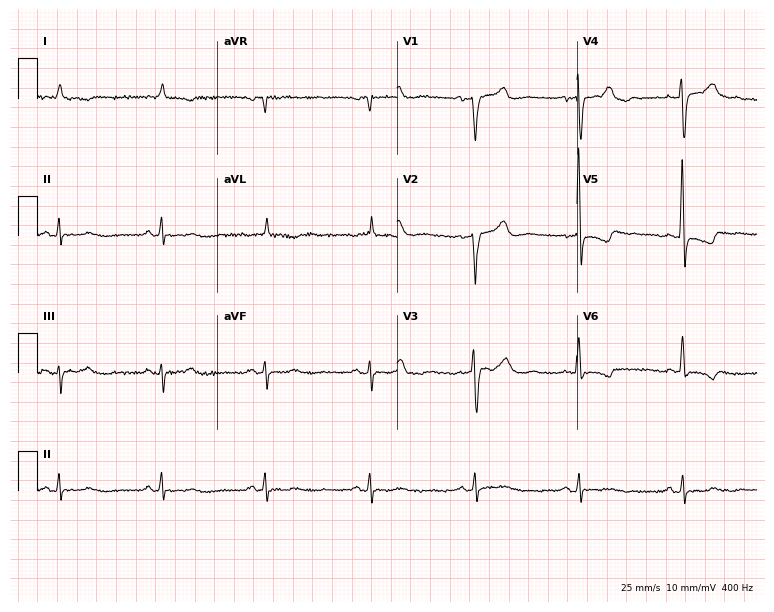
12-lead ECG (7.3-second recording at 400 Hz) from an 82-year-old male. Screened for six findings — first-degree AV block, right bundle branch block, left bundle branch block, sinus bradycardia, atrial fibrillation, sinus tachycardia — none is recorded. Only these six findings were labelled.